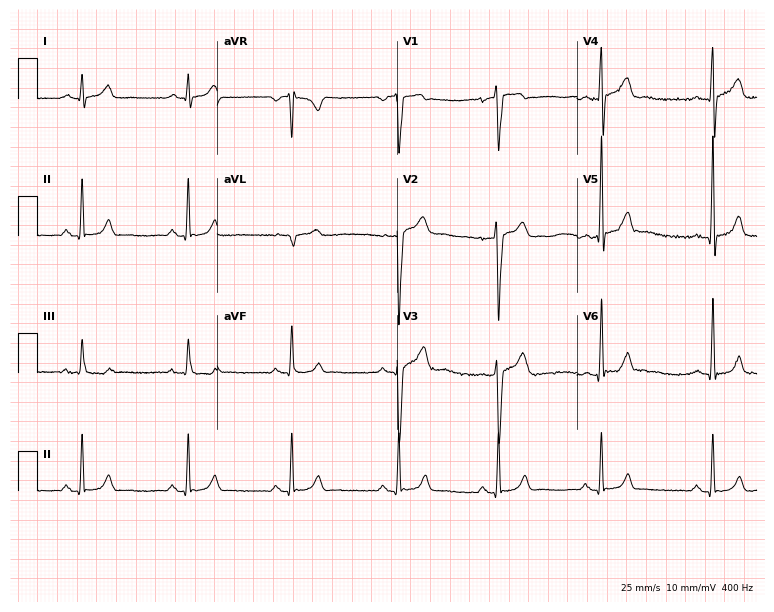
Electrocardiogram, a male, 24 years old. Of the six screened findings (first-degree AV block, right bundle branch block, left bundle branch block, sinus bradycardia, atrial fibrillation, sinus tachycardia), none is recorded.